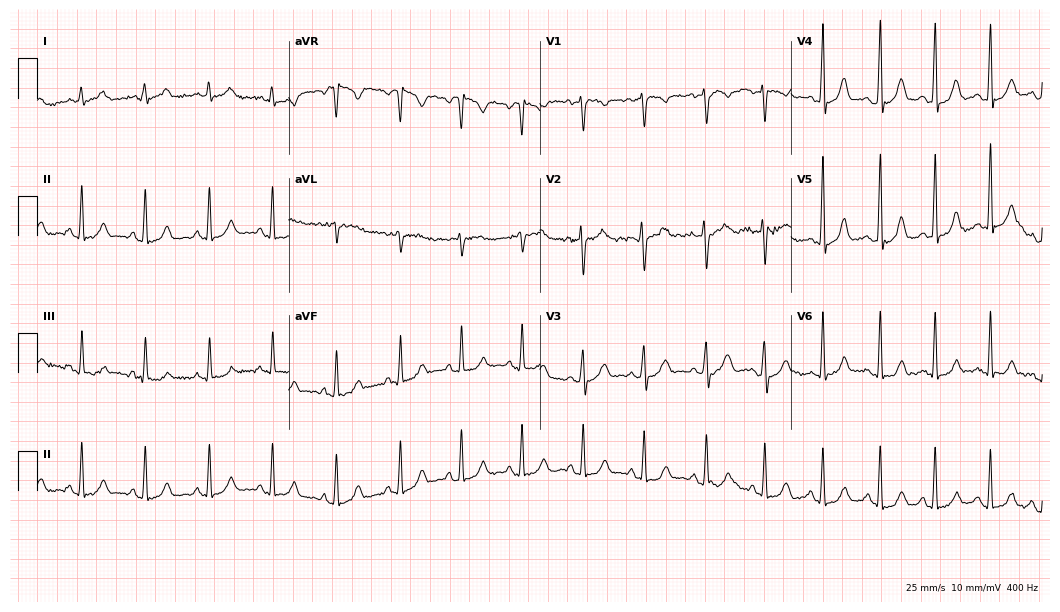
Electrocardiogram (10.2-second recording at 400 Hz), a 22-year-old female. Overall reading on record: normal ECG.